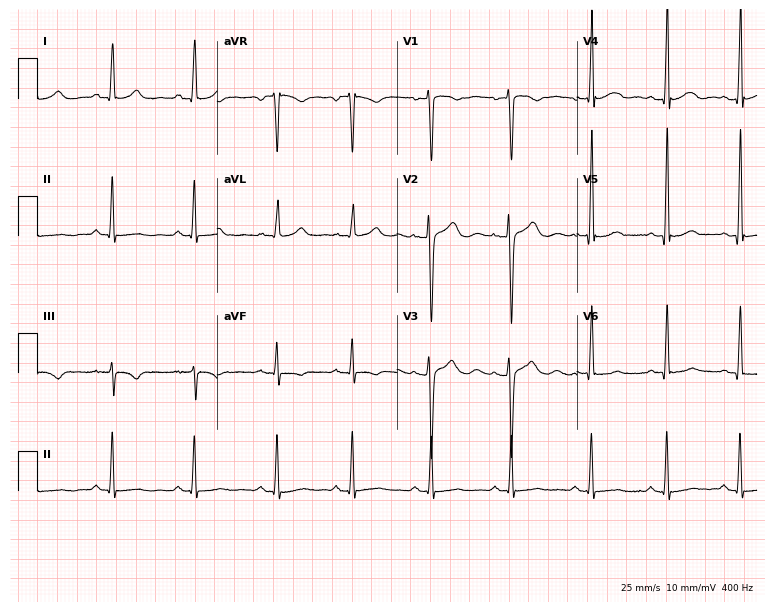
Electrocardiogram, a female patient, 28 years old. Overall reading on record: normal ECG.